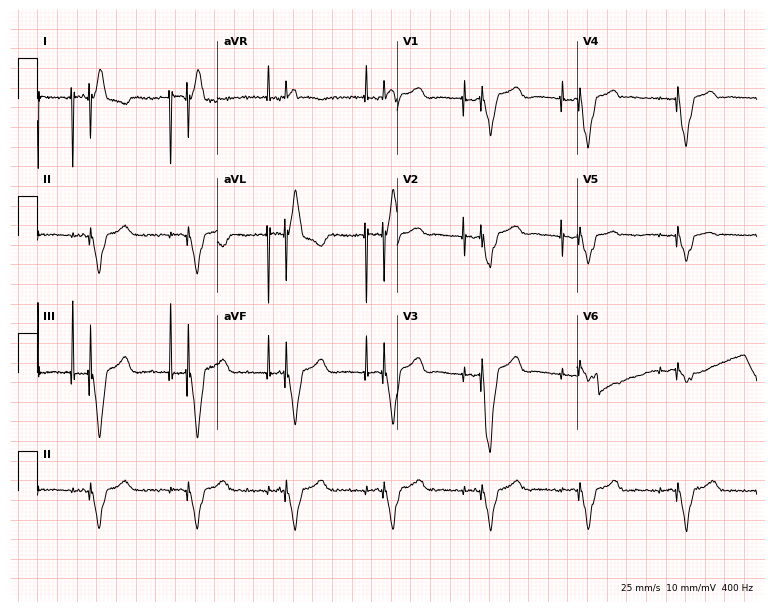
12-lead ECG (7.3-second recording at 400 Hz) from a female, 79 years old. Screened for six findings — first-degree AV block, right bundle branch block, left bundle branch block, sinus bradycardia, atrial fibrillation, sinus tachycardia — none is recorded.